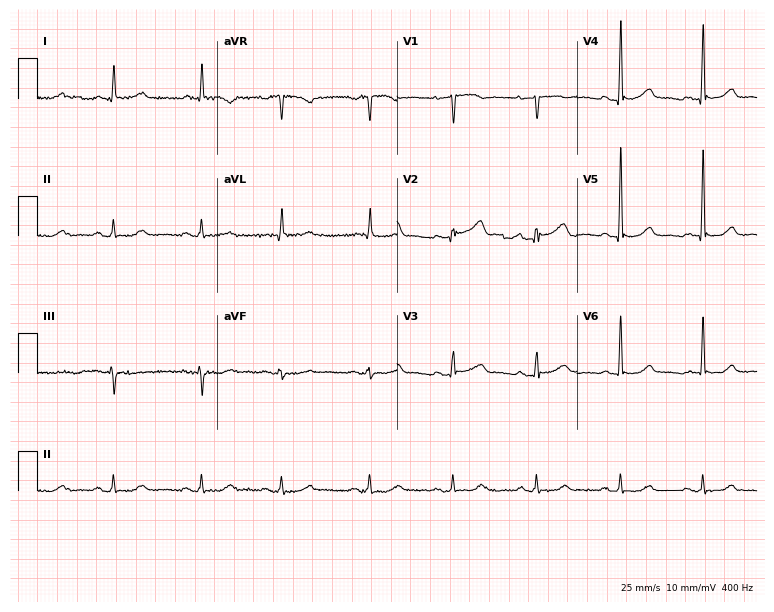
Standard 12-lead ECG recorded from a woman, 81 years old (7.3-second recording at 400 Hz). None of these six findings is recorded: first-degree AV block, right bundle branch block, left bundle branch block, sinus bradycardia, atrial fibrillation, sinus tachycardia. Findings outside these six are not listed.